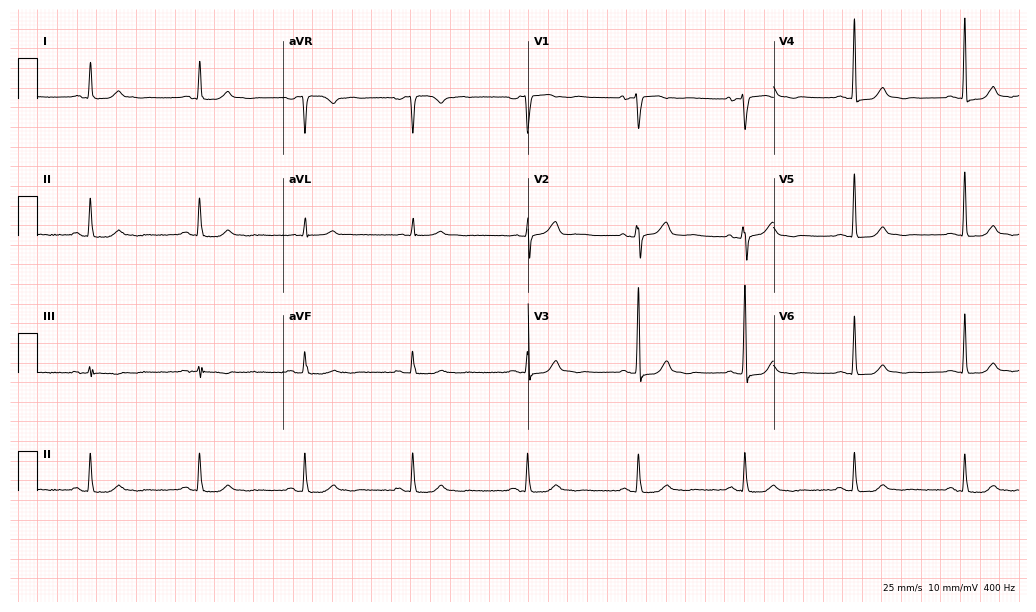
Resting 12-lead electrocardiogram (10-second recording at 400 Hz). Patient: an 84-year-old woman. None of these six findings is recorded: first-degree AV block, right bundle branch block, left bundle branch block, sinus bradycardia, atrial fibrillation, sinus tachycardia. Other findings, if any, are not listed.